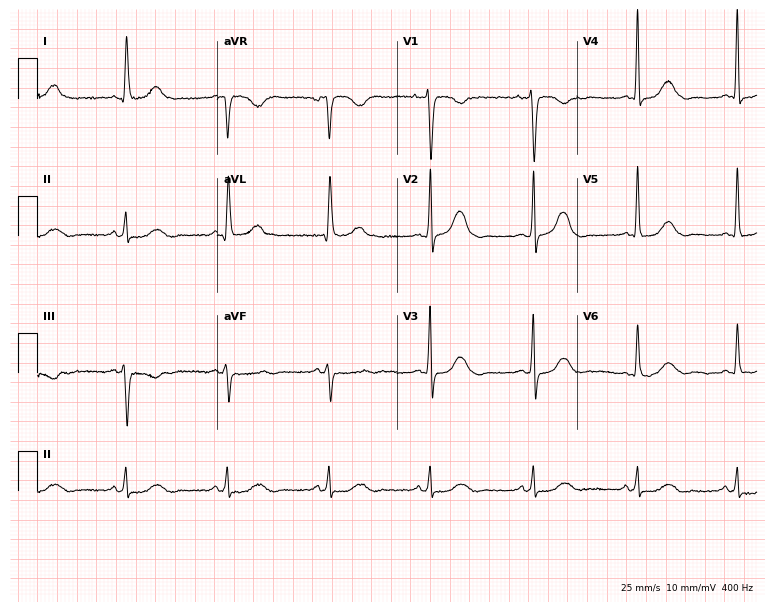
ECG (7.3-second recording at 400 Hz) — a female patient, 52 years old. Labelled as a normal ECG.